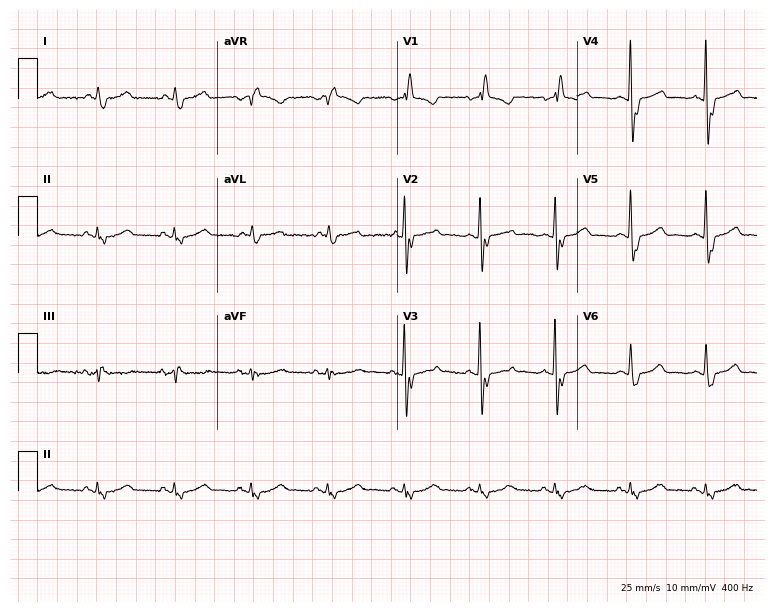
ECG — an 86-year-old man. Findings include right bundle branch block (RBBB).